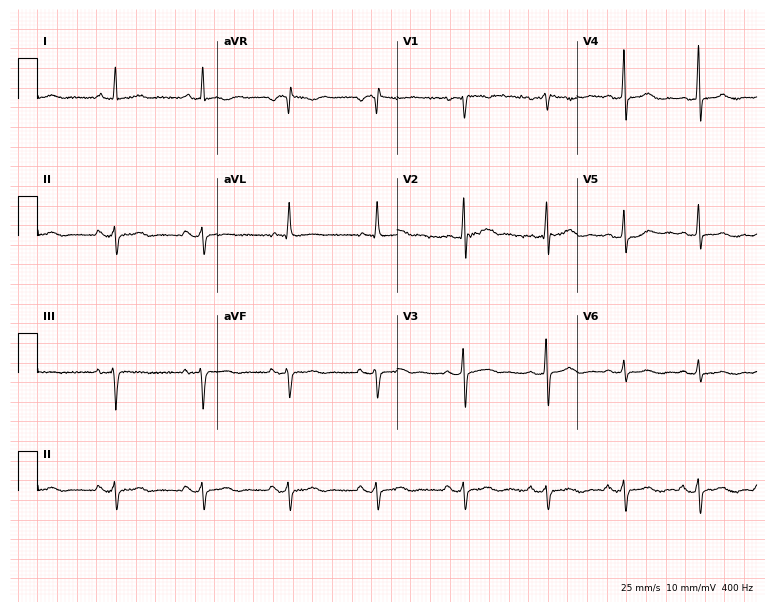
12-lead ECG (7.3-second recording at 400 Hz) from a 43-year-old female. Screened for six findings — first-degree AV block, right bundle branch block (RBBB), left bundle branch block (LBBB), sinus bradycardia, atrial fibrillation (AF), sinus tachycardia — none is recorded.